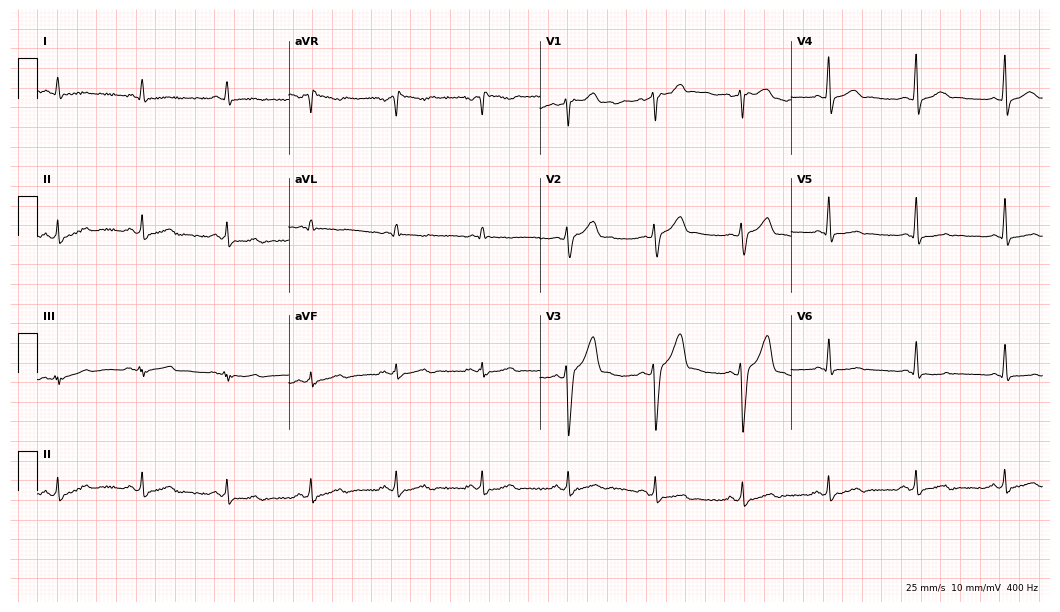
Electrocardiogram, a male patient, 50 years old. Of the six screened findings (first-degree AV block, right bundle branch block, left bundle branch block, sinus bradycardia, atrial fibrillation, sinus tachycardia), none is recorded. Only these six findings were labelled.